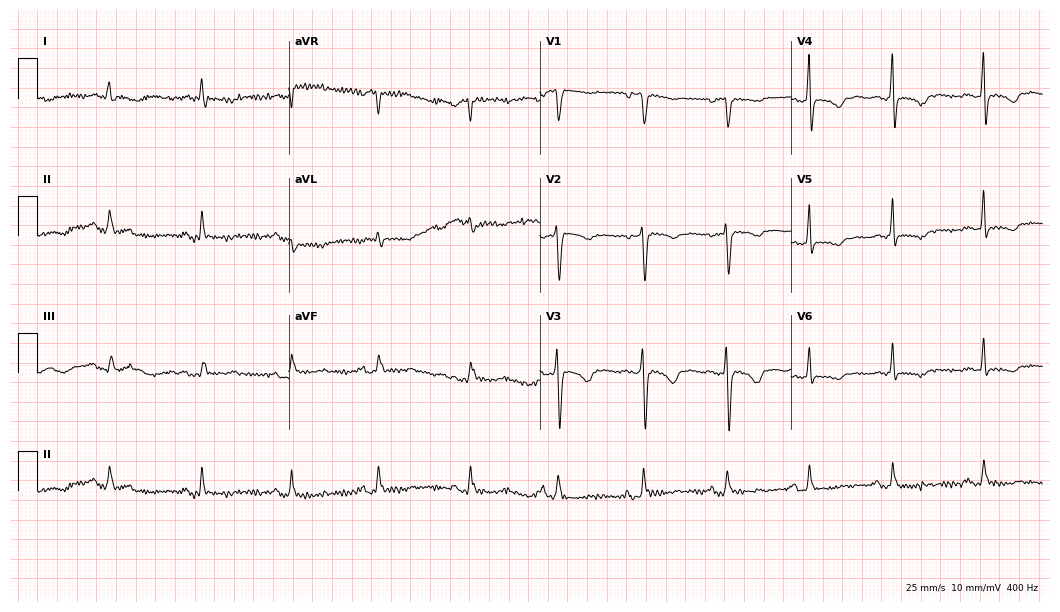
Electrocardiogram (10.2-second recording at 400 Hz), a 63-year-old woman. Of the six screened findings (first-degree AV block, right bundle branch block, left bundle branch block, sinus bradycardia, atrial fibrillation, sinus tachycardia), none is recorded. Findings outside these six are not listed.